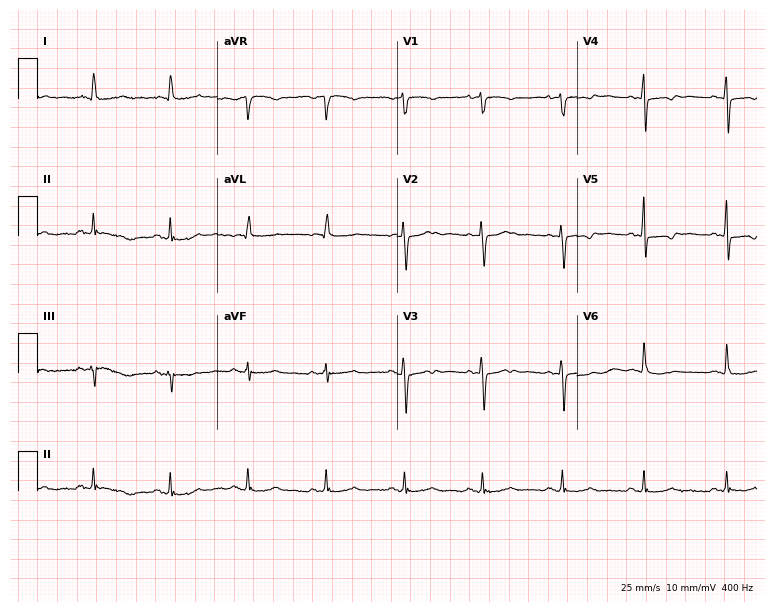
12-lead ECG from a 64-year-old woman (7.3-second recording at 400 Hz). No first-degree AV block, right bundle branch block (RBBB), left bundle branch block (LBBB), sinus bradycardia, atrial fibrillation (AF) or sinus tachycardia recorded for this tracing.